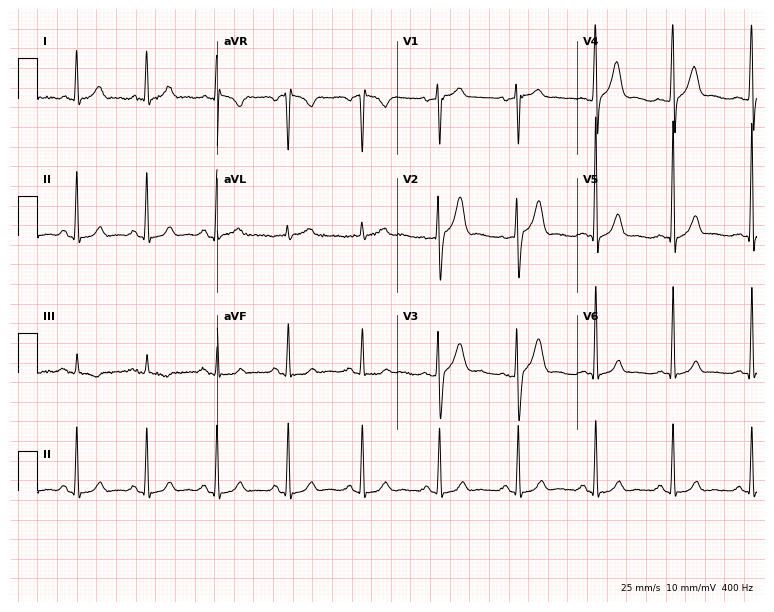
ECG — a male patient, 45 years old. Labelled as a normal ECG.